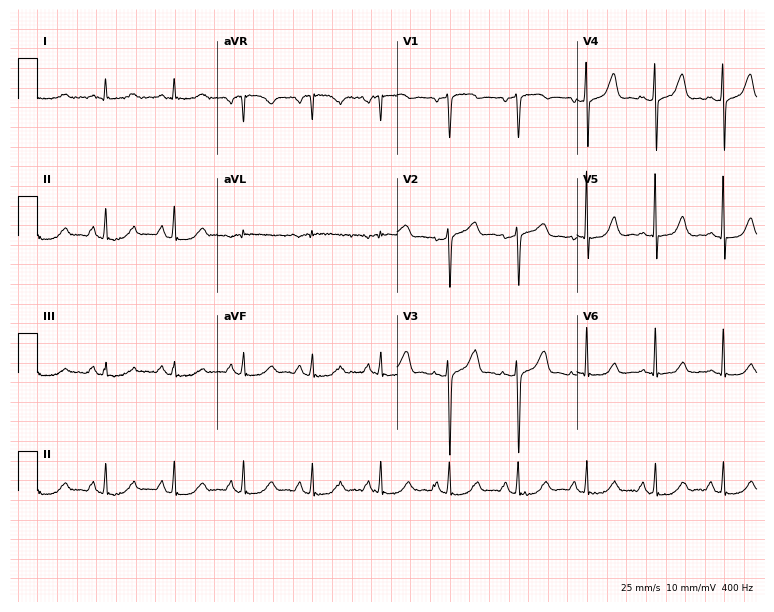
12-lead ECG from a woman, 55 years old (7.3-second recording at 400 Hz). No first-degree AV block, right bundle branch block (RBBB), left bundle branch block (LBBB), sinus bradycardia, atrial fibrillation (AF) or sinus tachycardia recorded for this tracing.